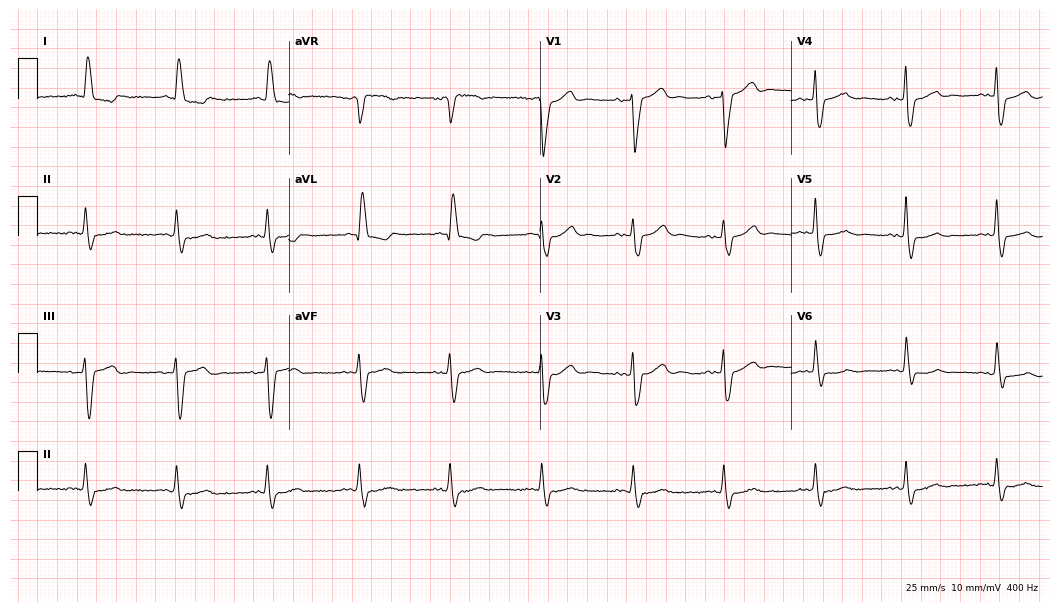
Electrocardiogram, an 84-year-old male. Of the six screened findings (first-degree AV block, right bundle branch block, left bundle branch block, sinus bradycardia, atrial fibrillation, sinus tachycardia), none is recorded.